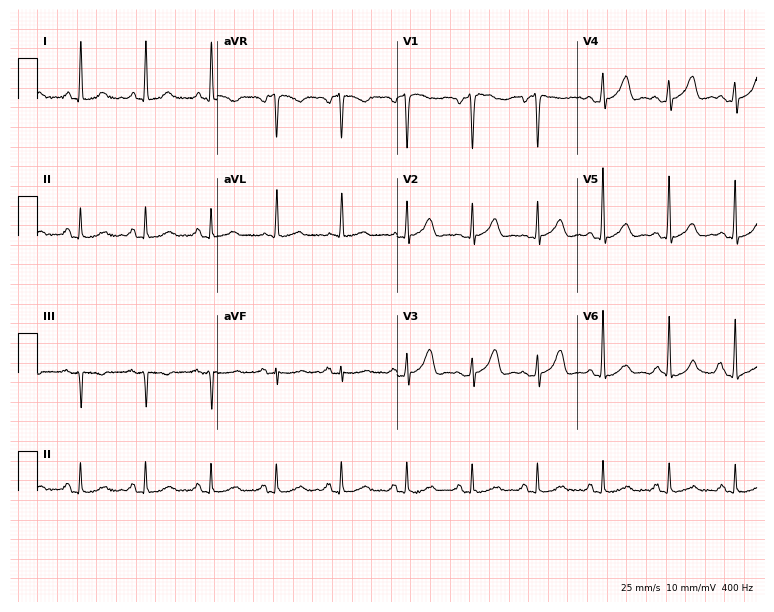
12-lead ECG from a 56-year-old female patient. Screened for six findings — first-degree AV block, right bundle branch block, left bundle branch block, sinus bradycardia, atrial fibrillation, sinus tachycardia — none is recorded. Only these six findings were labelled.